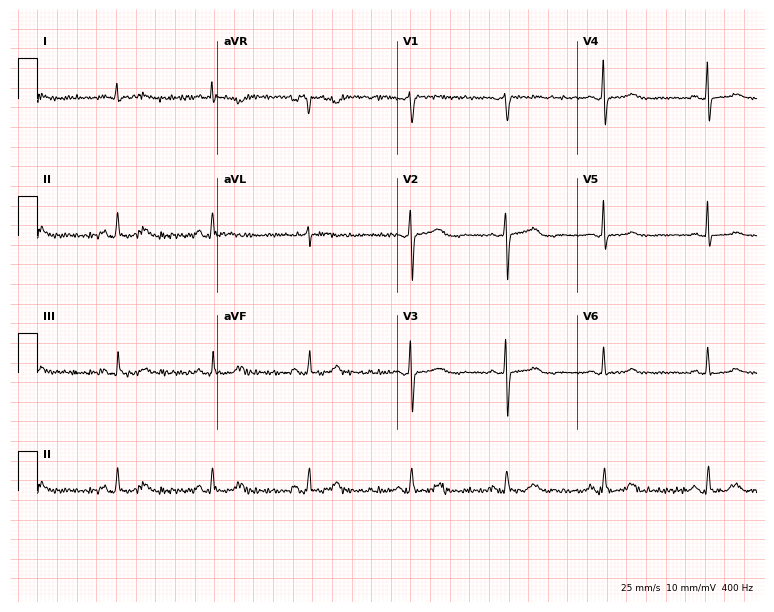
12-lead ECG from a female patient, 55 years old (7.3-second recording at 400 Hz). No first-degree AV block, right bundle branch block (RBBB), left bundle branch block (LBBB), sinus bradycardia, atrial fibrillation (AF) or sinus tachycardia recorded for this tracing.